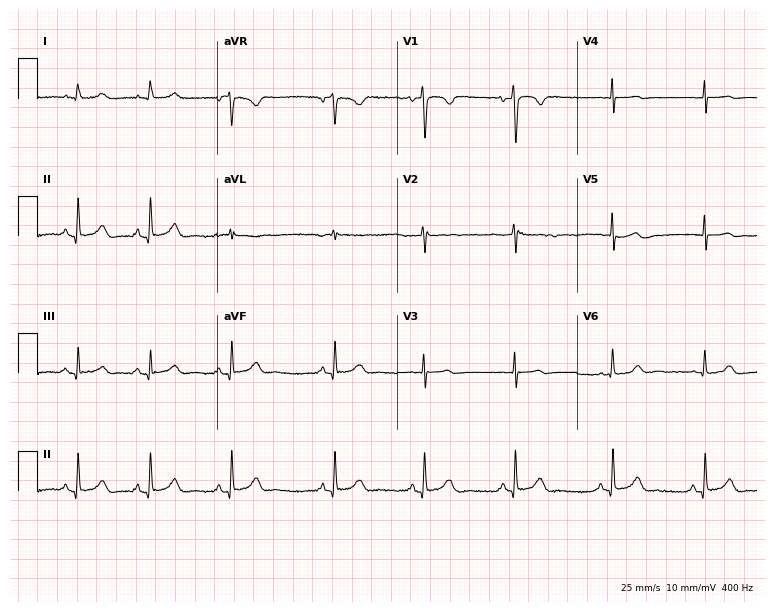
Resting 12-lead electrocardiogram (7.3-second recording at 400 Hz). Patient: a male, 22 years old. None of these six findings is recorded: first-degree AV block, right bundle branch block, left bundle branch block, sinus bradycardia, atrial fibrillation, sinus tachycardia.